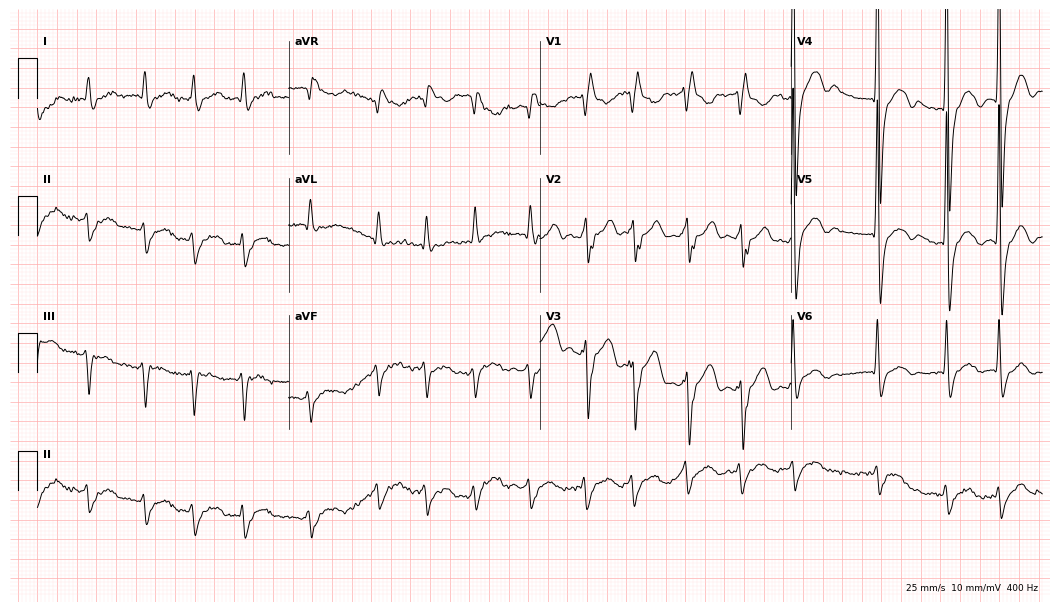
Standard 12-lead ECG recorded from a male patient, 79 years old. The tracing shows right bundle branch block, atrial fibrillation.